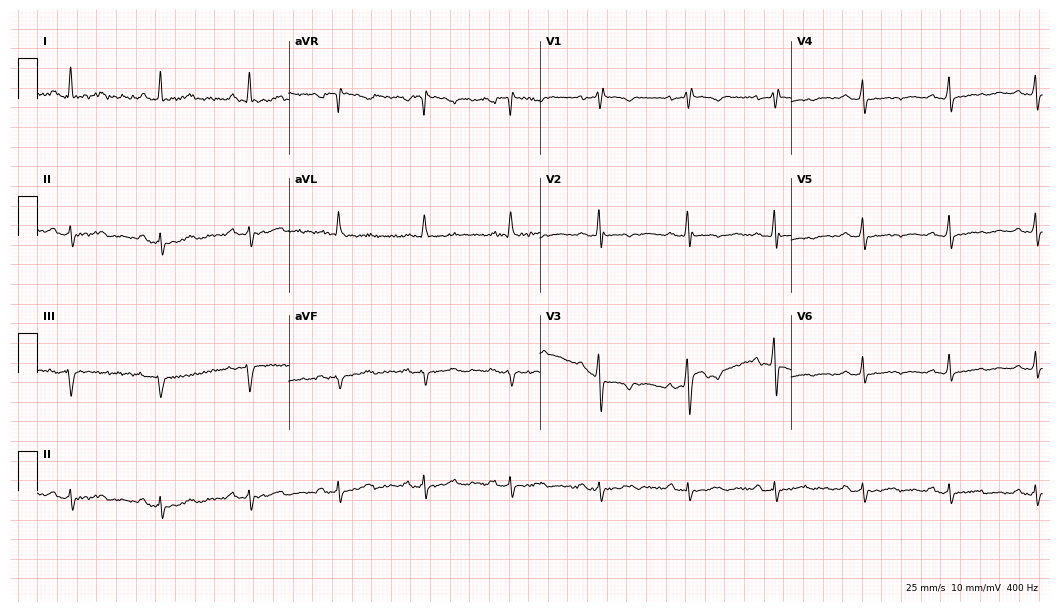
ECG — a 60-year-old woman. Screened for six findings — first-degree AV block, right bundle branch block (RBBB), left bundle branch block (LBBB), sinus bradycardia, atrial fibrillation (AF), sinus tachycardia — none is recorded. Other findings, if any, are not listed.